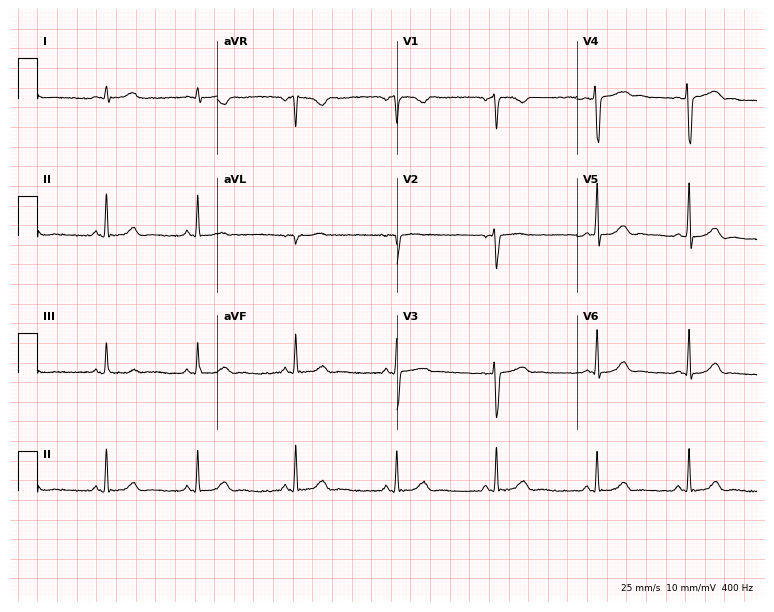
Electrocardiogram, a 22-year-old woman. Overall reading on record: normal ECG.